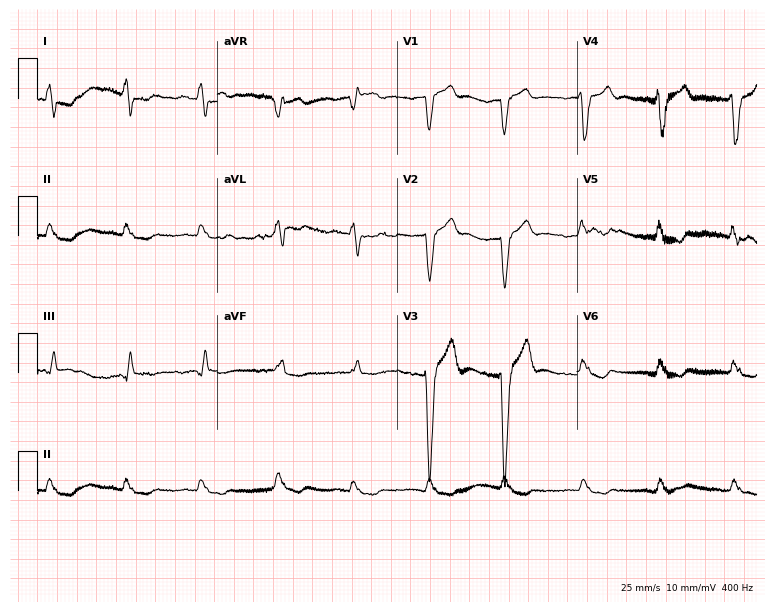
Resting 12-lead electrocardiogram. Patient: an 88-year-old male. None of these six findings is recorded: first-degree AV block, right bundle branch block, left bundle branch block, sinus bradycardia, atrial fibrillation, sinus tachycardia. Other findings, if any, are not listed.